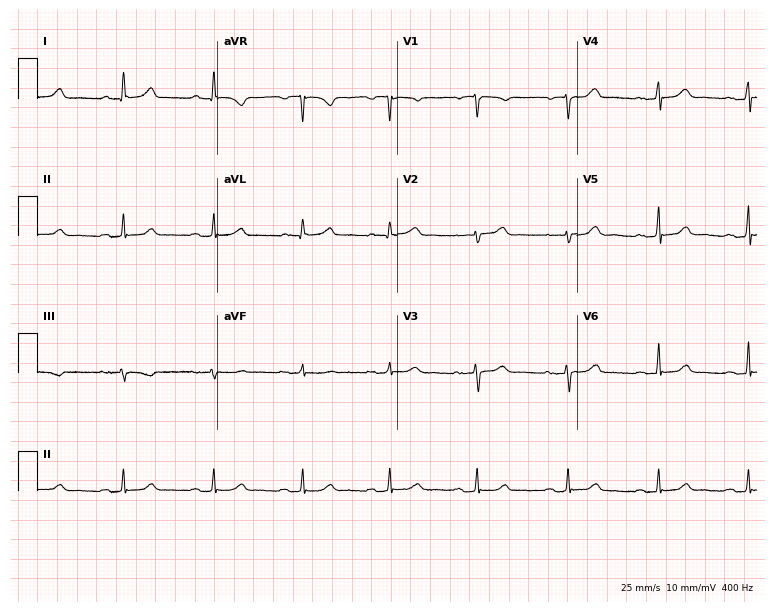
Resting 12-lead electrocardiogram. Patient: a female, 46 years old. Read as a normal ECG.